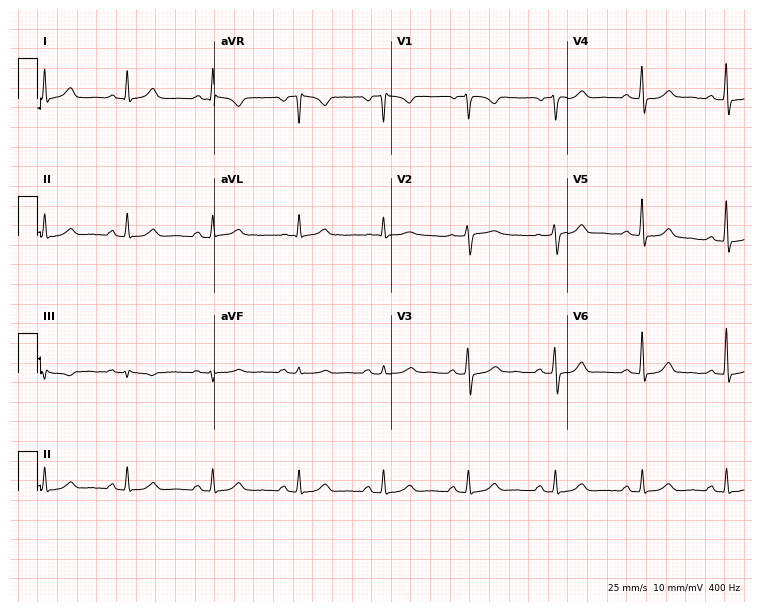
Resting 12-lead electrocardiogram. Patient: a female, 35 years old. None of these six findings is recorded: first-degree AV block, right bundle branch block (RBBB), left bundle branch block (LBBB), sinus bradycardia, atrial fibrillation (AF), sinus tachycardia.